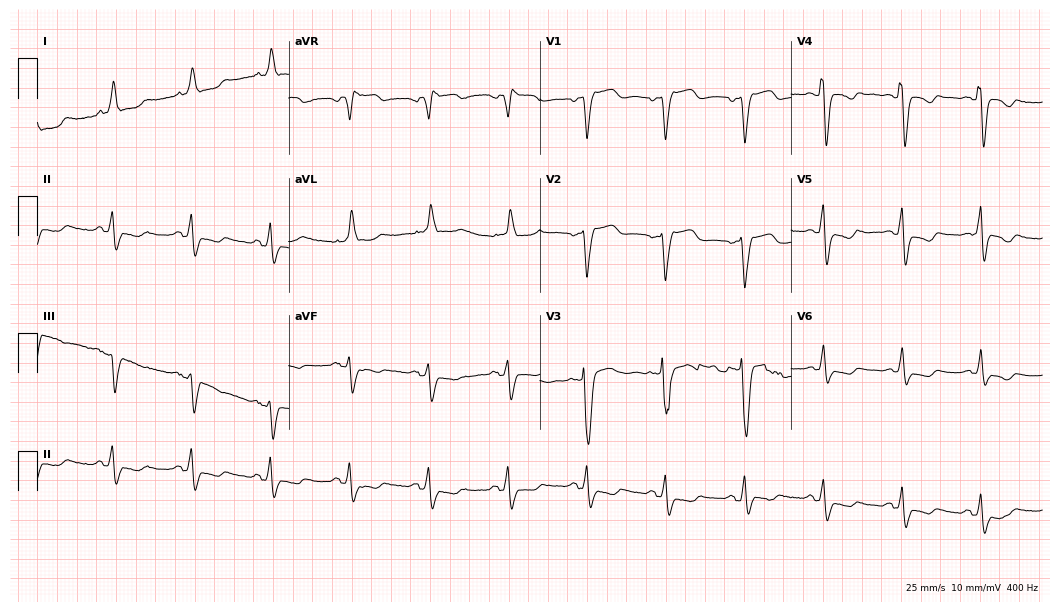
Resting 12-lead electrocardiogram. Patient: an 81-year-old female. None of these six findings is recorded: first-degree AV block, right bundle branch block, left bundle branch block, sinus bradycardia, atrial fibrillation, sinus tachycardia.